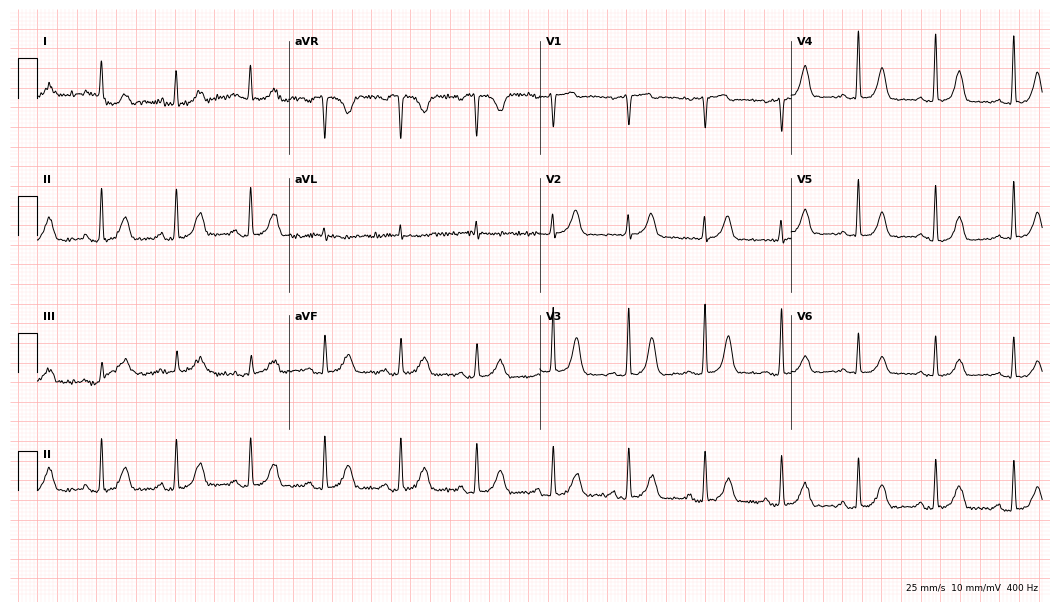
12-lead ECG from a female patient, 61 years old. Labelled as a normal ECG.